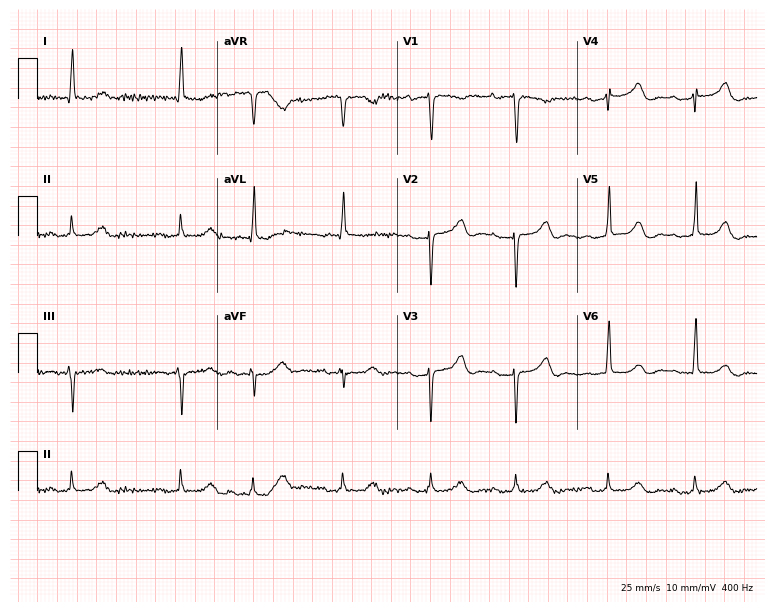
ECG (7.3-second recording at 400 Hz) — a 78-year-old female patient. Findings include first-degree AV block.